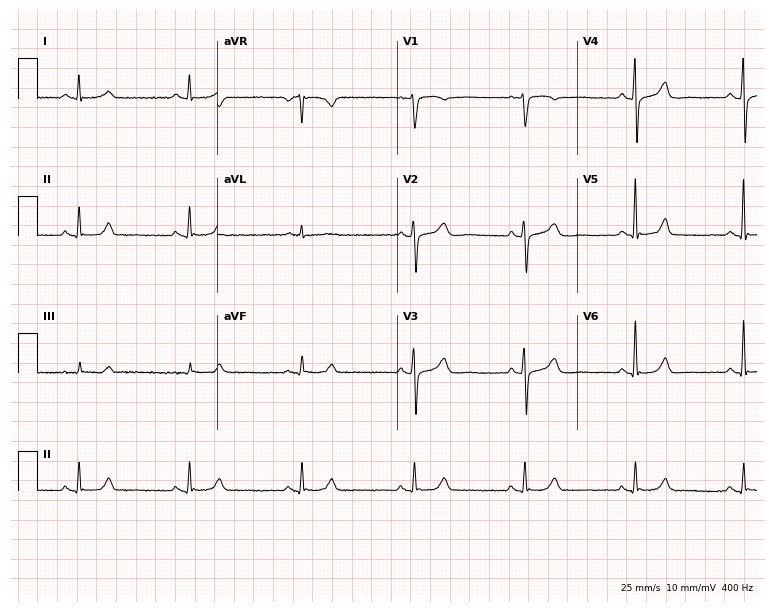
Standard 12-lead ECG recorded from a man, 67 years old. Read as a normal ECG.